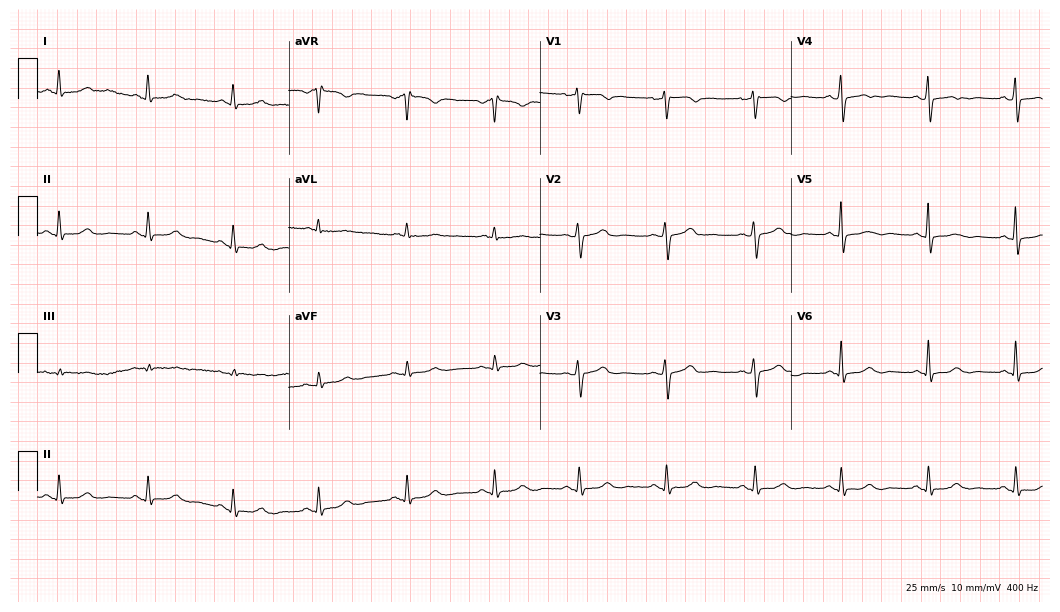
ECG (10.2-second recording at 400 Hz) — a 49-year-old woman. Screened for six findings — first-degree AV block, right bundle branch block, left bundle branch block, sinus bradycardia, atrial fibrillation, sinus tachycardia — none is recorded.